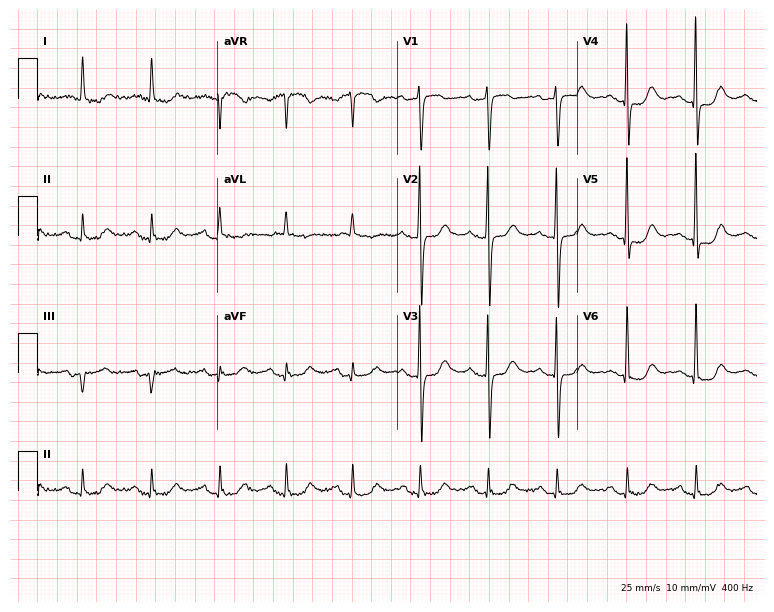
Standard 12-lead ECG recorded from a 69-year-old female patient. Read as a normal ECG.